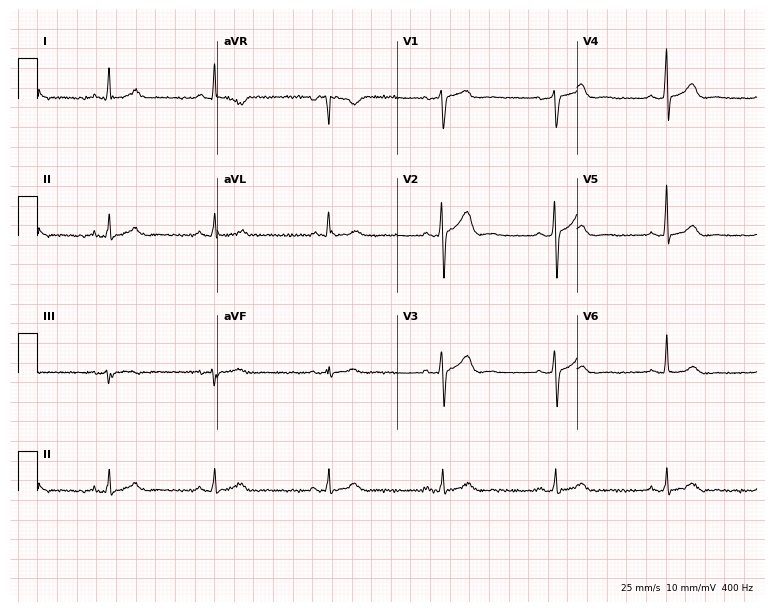
12-lead ECG from a male patient, 46 years old. Labelled as a normal ECG.